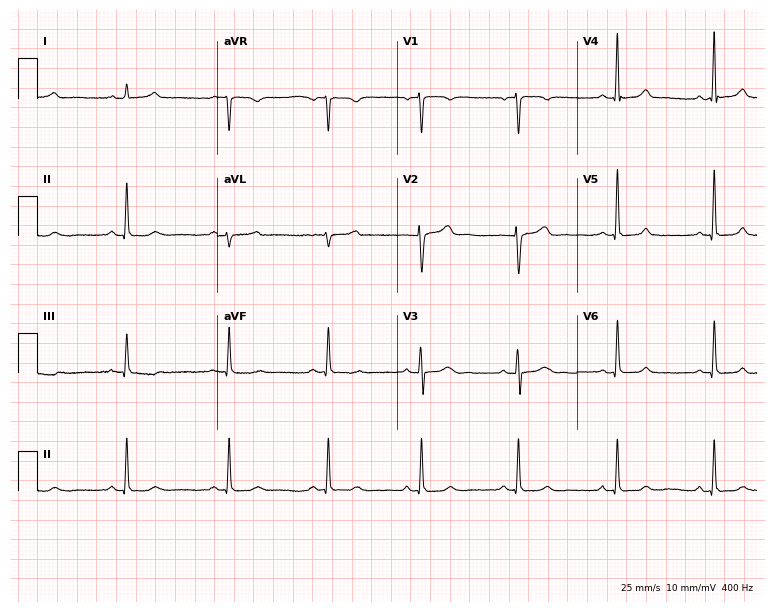
12-lead ECG (7.3-second recording at 400 Hz) from a 33-year-old female. Screened for six findings — first-degree AV block, right bundle branch block (RBBB), left bundle branch block (LBBB), sinus bradycardia, atrial fibrillation (AF), sinus tachycardia — none is recorded. Findings outside these six are not listed.